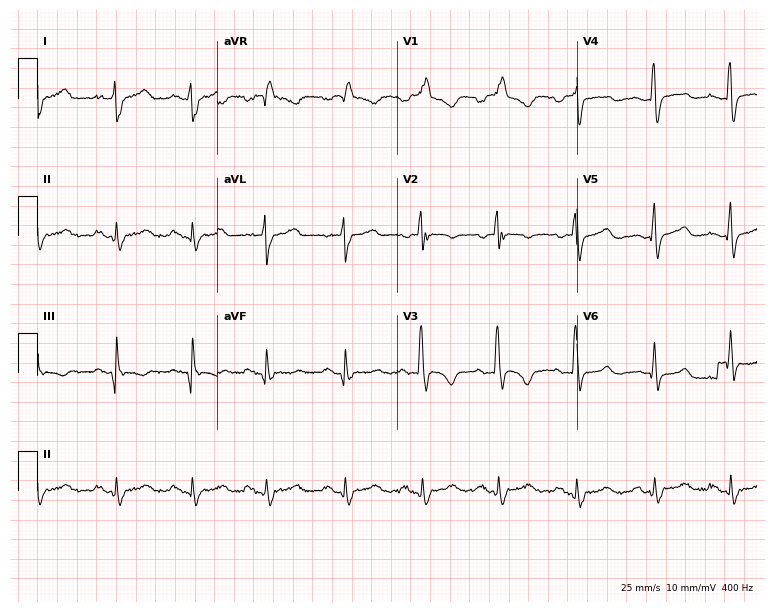
Resting 12-lead electrocardiogram (7.3-second recording at 400 Hz). Patient: a female, 45 years old. The tracing shows right bundle branch block (RBBB).